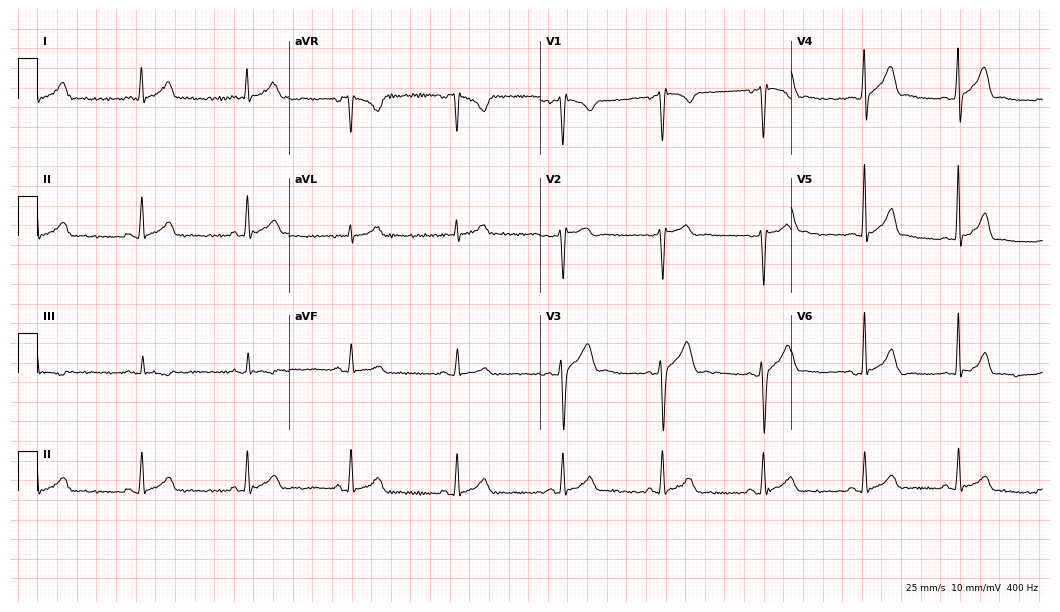
12-lead ECG from a 22-year-old man (10.2-second recording at 400 Hz). No first-degree AV block, right bundle branch block (RBBB), left bundle branch block (LBBB), sinus bradycardia, atrial fibrillation (AF) or sinus tachycardia recorded for this tracing.